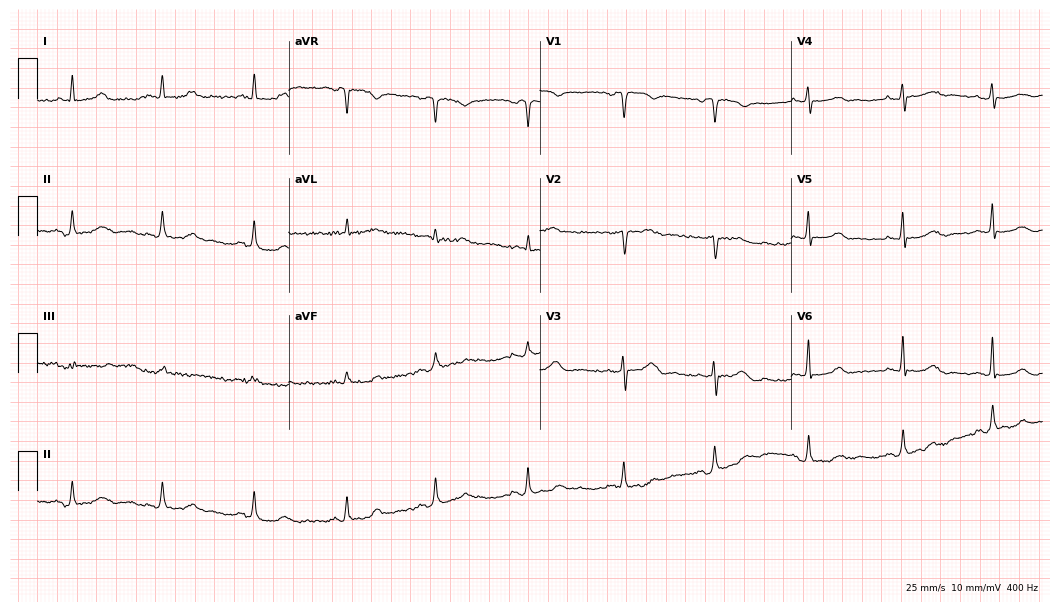
Standard 12-lead ECG recorded from a 75-year-old woman. None of these six findings is recorded: first-degree AV block, right bundle branch block, left bundle branch block, sinus bradycardia, atrial fibrillation, sinus tachycardia. Only these six findings were labelled.